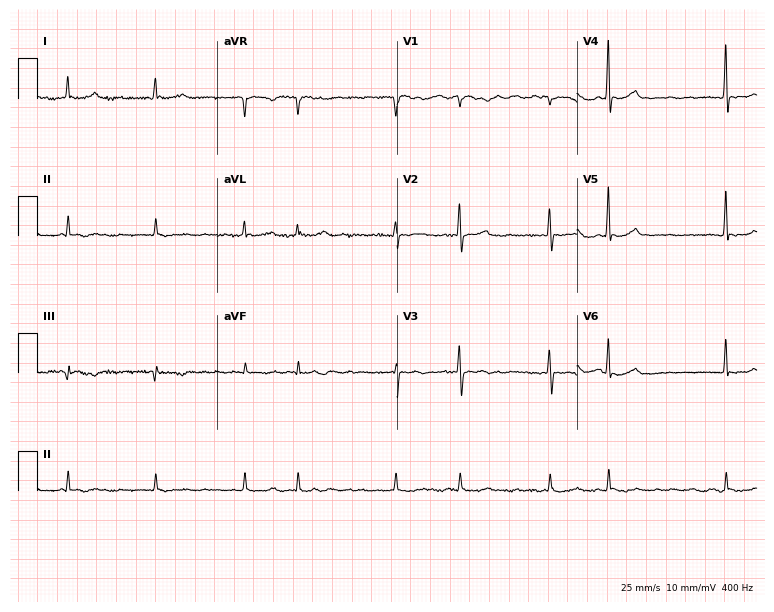
12-lead ECG from a 76-year-old female patient. Shows atrial fibrillation.